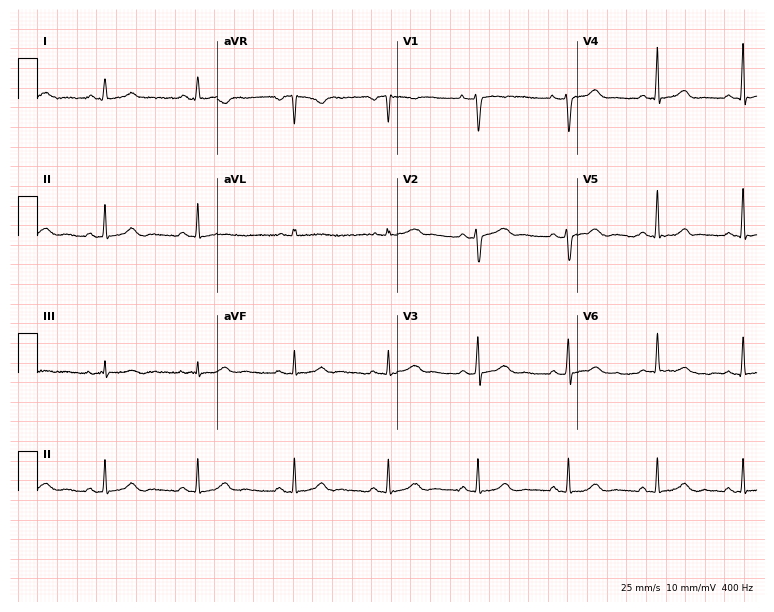
12-lead ECG (7.3-second recording at 400 Hz) from a 37-year-old female patient. Labelled as a normal ECG.